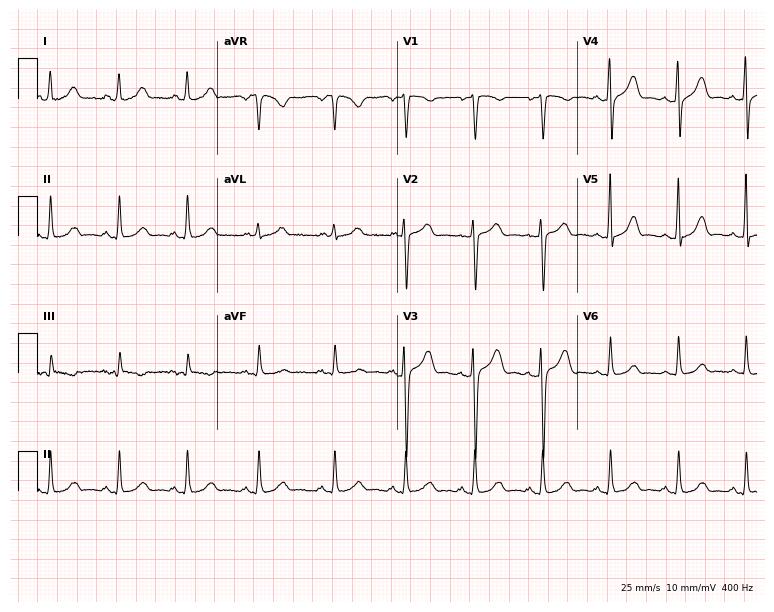
ECG (7.3-second recording at 400 Hz) — a woman, 33 years old. Screened for six findings — first-degree AV block, right bundle branch block, left bundle branch block, sinus bradycardia, atrial fibrillation, sinus tachycardia — none is recorded.